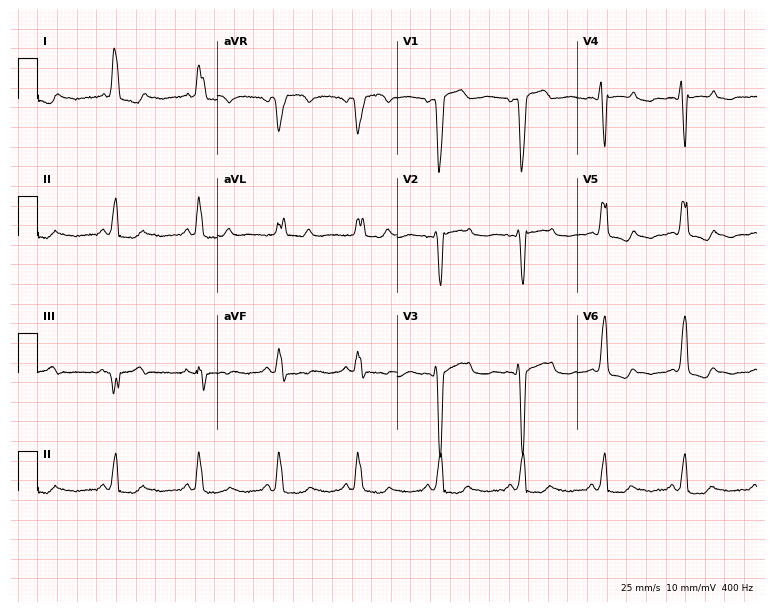
Electrocardiogram, a 67-year-old female patient. Interpretation includes left bundle branch block (LBBB).